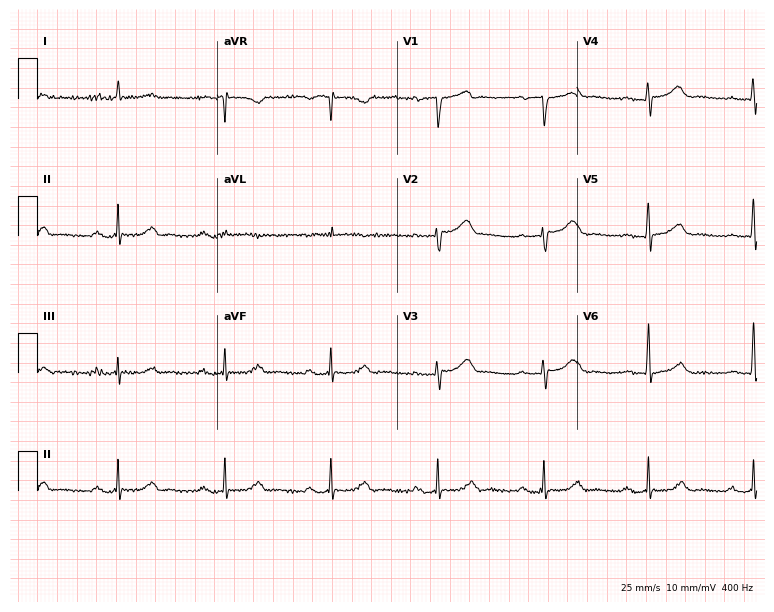
Resting 12-lead electrocardiogram. Patient: a male, 67 years old. None of these six findings is recorded: first-degree AV block, right bundle branch block, left bundle branch block, sinus bradycardia, atrial fibrillation, sinus tachycardia. Other findings, if any, are not listed.